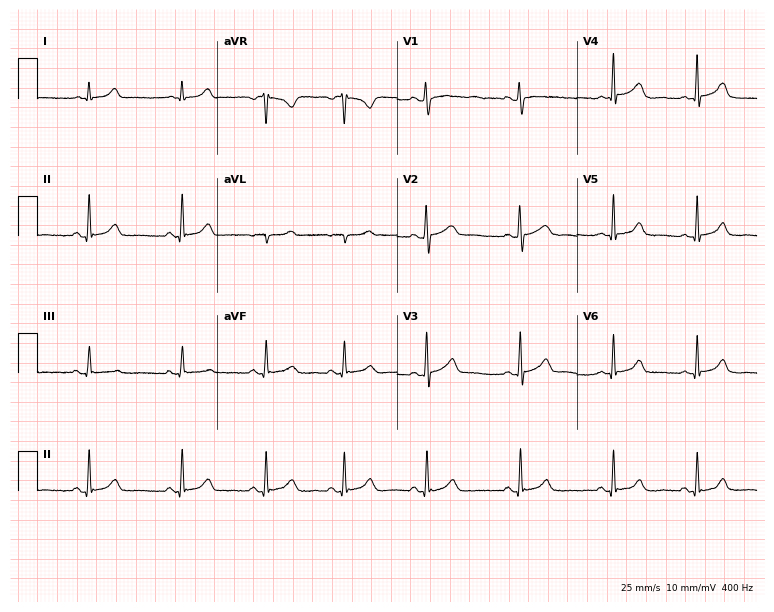
12-lead ECG from a female patient, 18 years old (7.3-second recording at 400 Hz). Recorded interpretation: within normal limits.